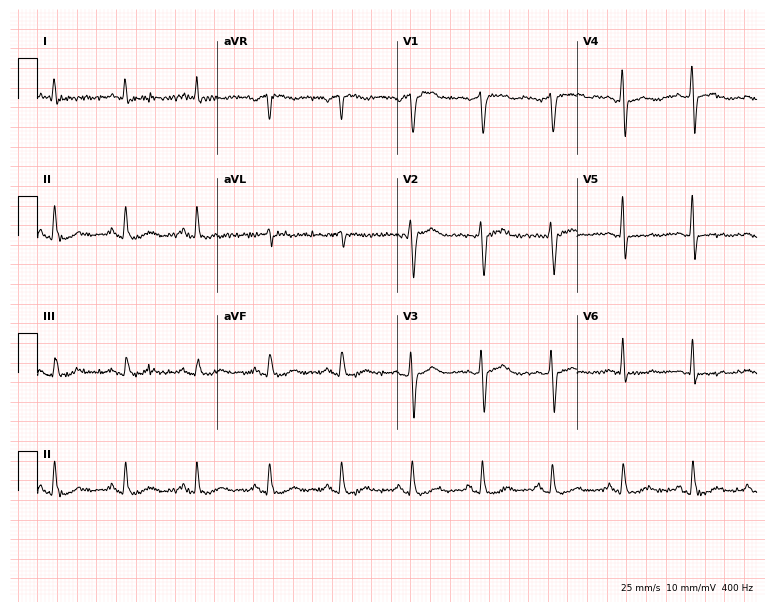
Electrocardiogram (7.3-second recording at 400 Hz), a 73-year-old man. Of the six screened findings (first-degree AV block, right bundle branch block, left bundle branch block, sinus bradycardia, atrial fibrillation, sinus tachycardia), none is recorded.